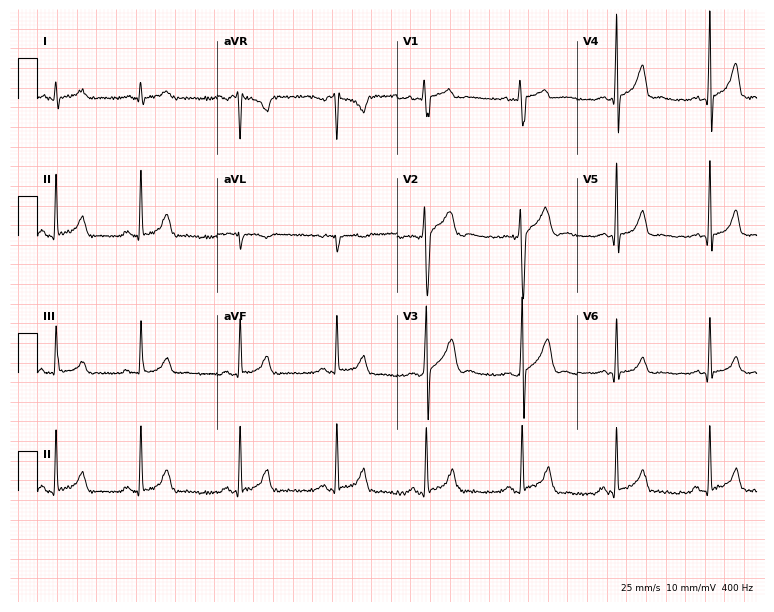
12-lead ECG (7.3-second recording at 400 Hz) from a male patient, 25 years old. Screened for six findings — first-degree AV block, right bundle branch block, left bundle branch block, sinus bradycardia, atrial fibrillation, sinus tachycardia — none is recorded. Only these six findings were labelled.